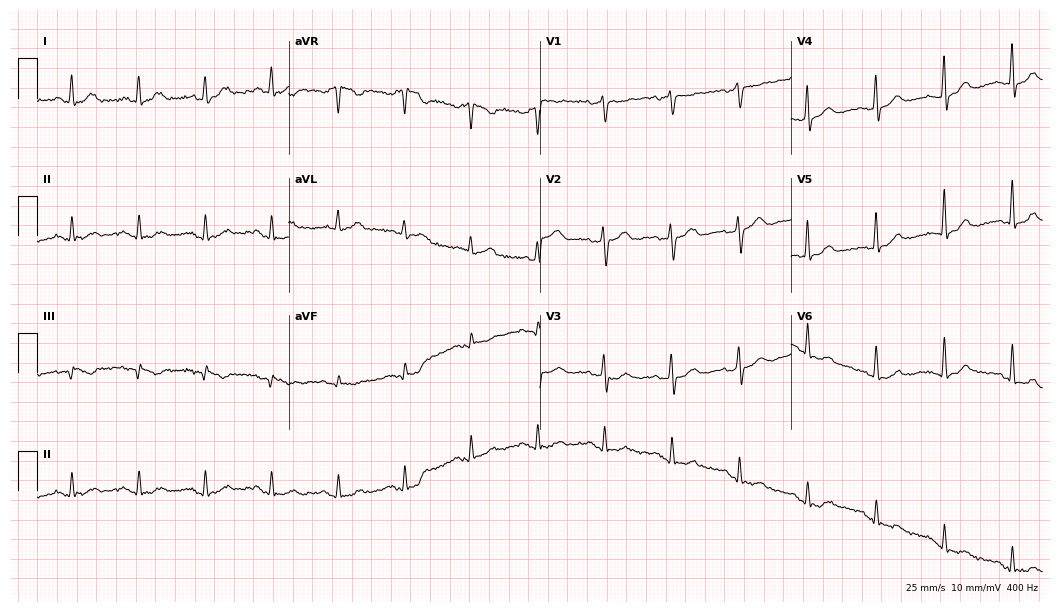
ECG — a 53-year-old female patient. Labelled as a normal ECG.